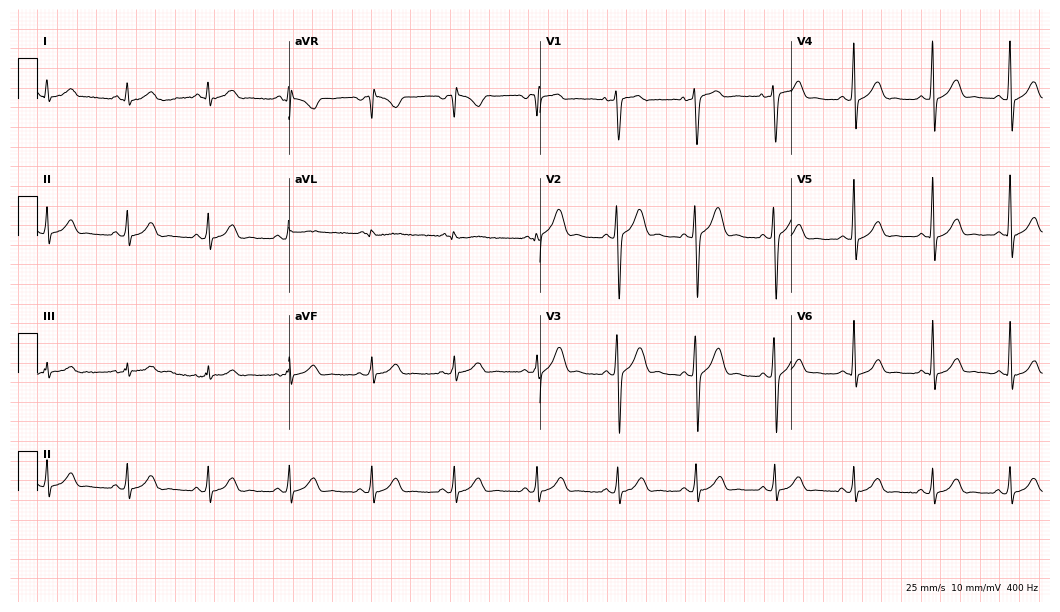
ECG (10.2-second recording at 400 Hz) — a man, 26 years old. Labelled as a normal ECG.